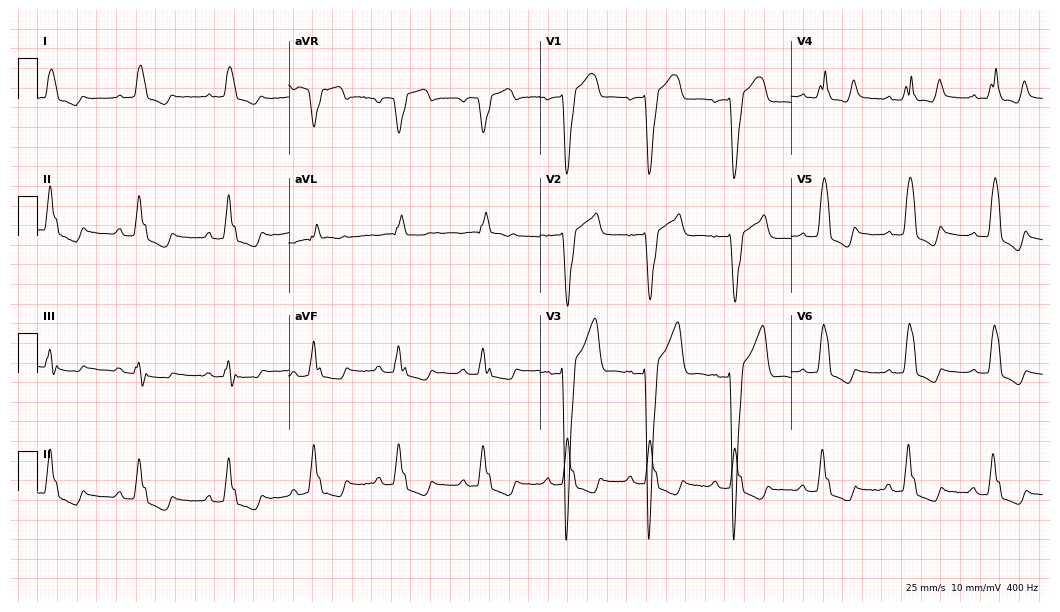
Standard 12-lead ECG recorded from a male patient, 76 years old. The tracing shows left bundle branch block (LBBB).